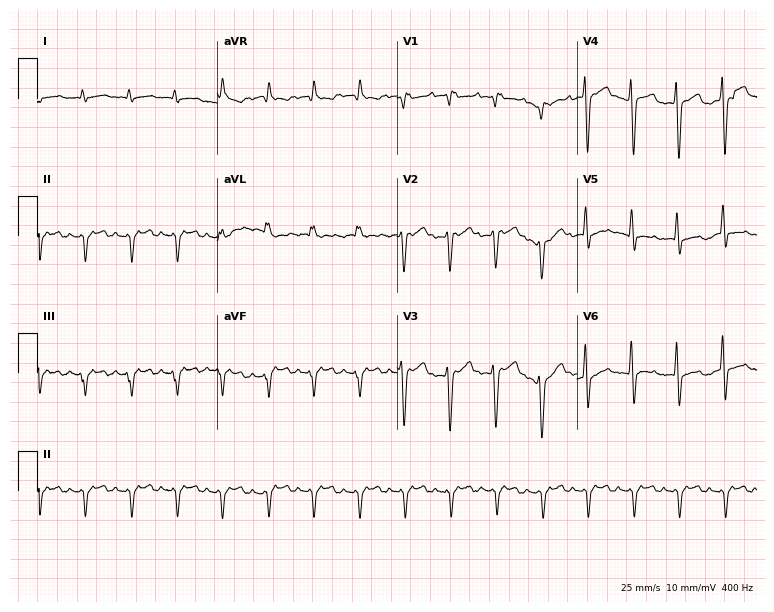
12-lead ECG from a man, 78 years old. No first-degree AV block, right bundle branch block (RBBB), left bundle branch block (LBBB), sinus bradycardia, atrial fibrillation (AF) or sinus tachycardia recorded for this tracing. Other findings, if any, are not listed.